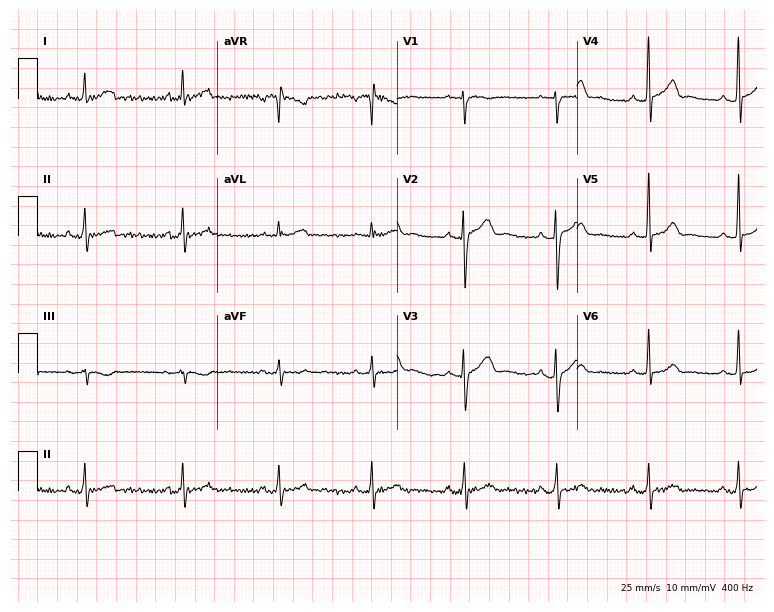
12-lead ECG from a 34-year-old male. Recorded interpretation: within normal limits.